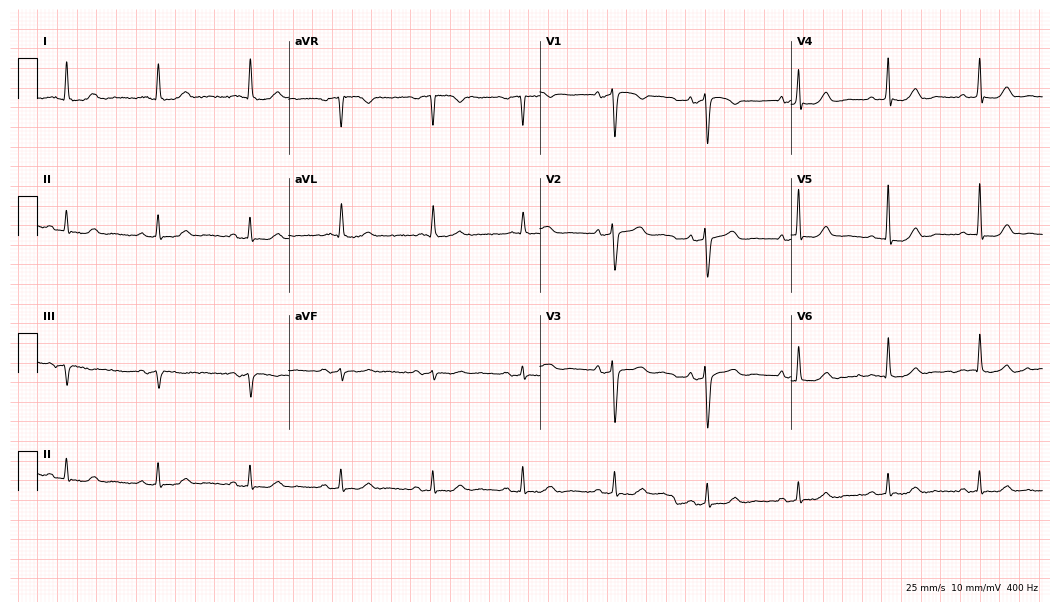
12-lead ECG (10.2-second recording at 400 Hz) from a female, 84 years old. Labelled as a normal ECG.